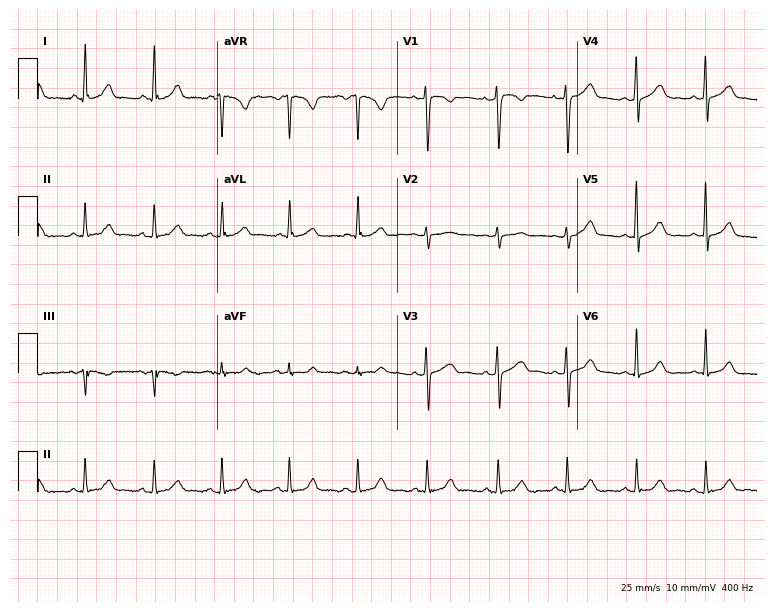
12-lead ECG from a 46-year-old female (7.3-second recording at 400 Hz). Recorded interpretation: within normal limits.